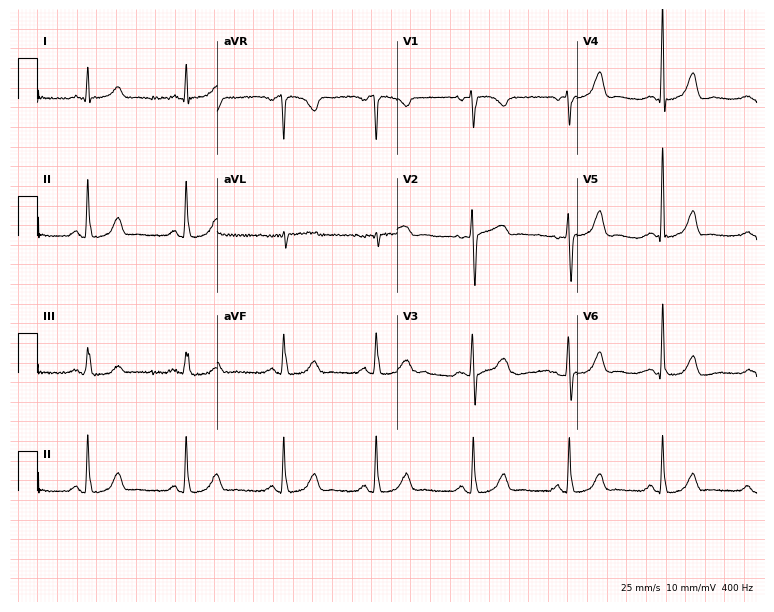
Standard 12-lead ECG recorded from a 58-year-old woman (7.3-second recording at 400 Hz). Read as a normal ECG.